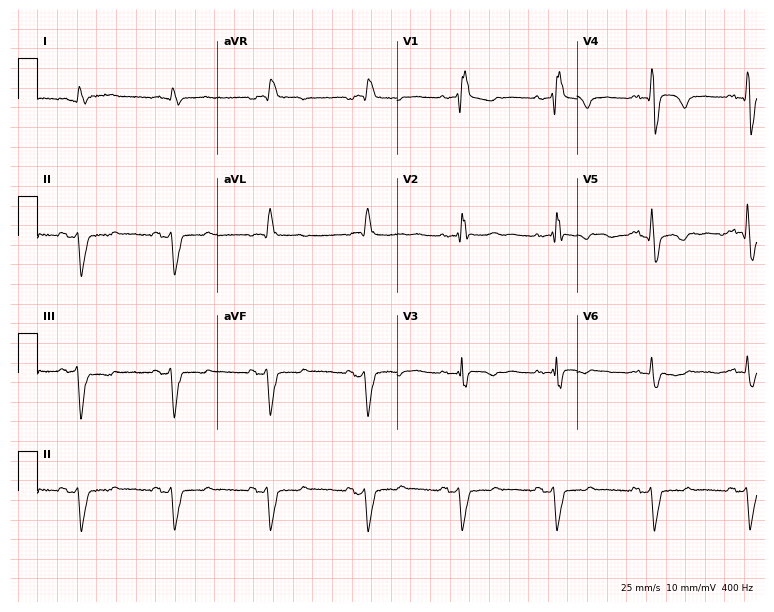
Resting 12-lead electrocardiogram. Patient: a 65-year-old male. The tracing shows right bundle branch block (RBBB).